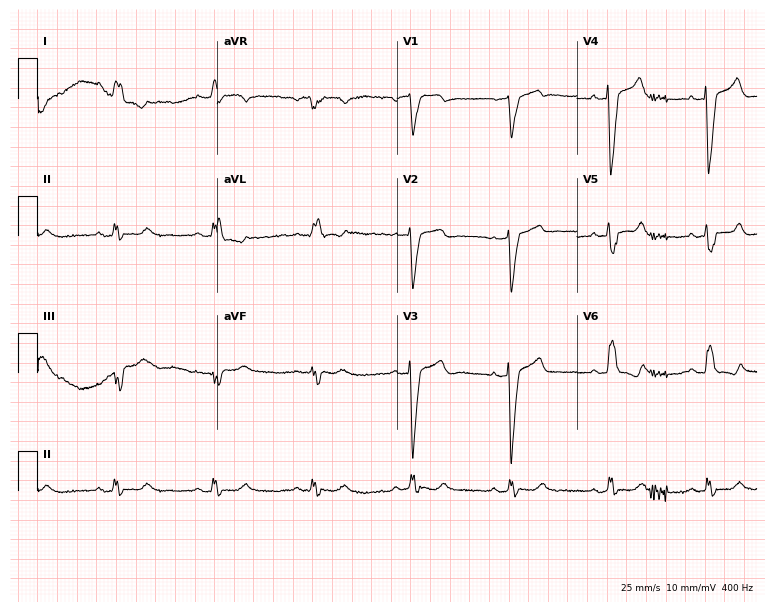
Resting 12-lead electrocardiogram (7.3-second recording at 400 Hz). Patient: a 78-year-old woman. The tracing shows left bundle branch block.